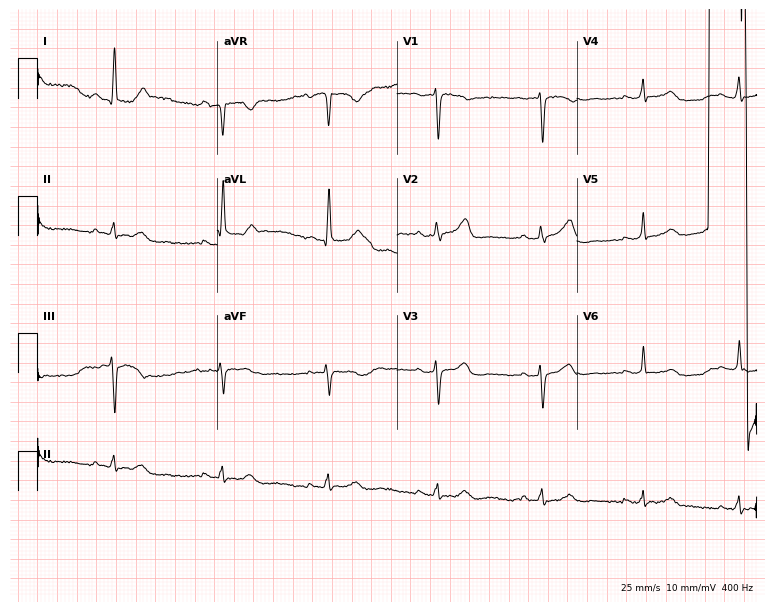
Standard 12-lead ECG recorded from a woman, 51 years old (7.3-second recording at 400 Hz). None of these six findings is recorded: first-degree AV block, right bundle branch block (RBBB), left bundle branch block (LBBB), sinus bradycardia, atrial fibrillation (AF), sinus tachycardia. Only these six findings were labelled.